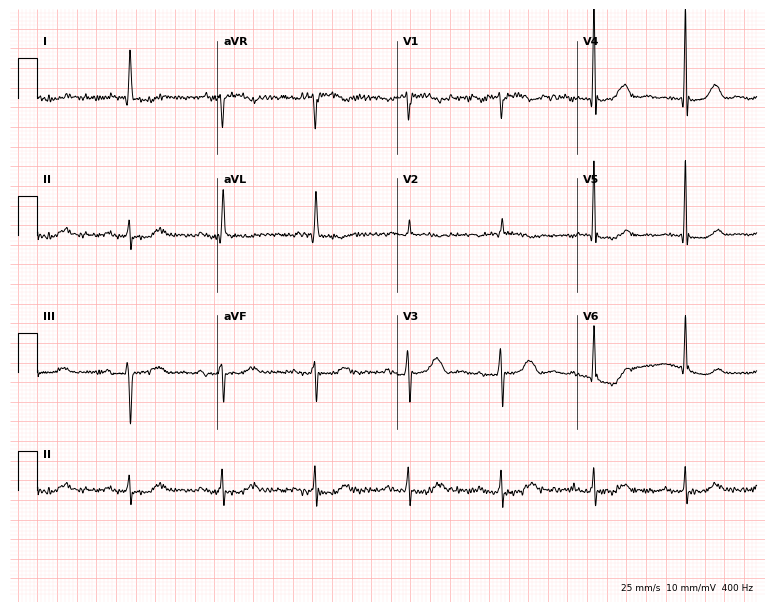
Electrocardiogram (7.3-second recording at 400 Hz), a female, 83 years old. Of the six screened findings (first-degree AV block, right bundle branch block, left bundle branch block, sinus bradycardia, atrial fibrillation, sinus tachycardia), none is recorded. Only these six findings were labelled.